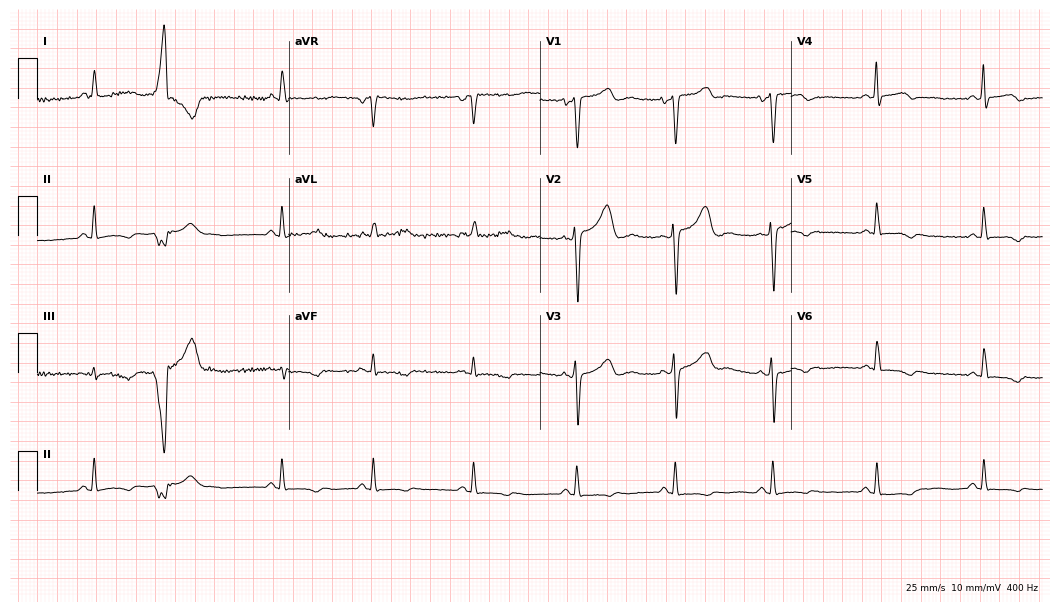
ECG — a woman, 43 years old. Screened for six findings — first-degree AV block, right bundle branch block, left bundle branch block, sinus bradycardia, atrial fibrillation, sinus tachycardia — none is recorded. Findings outside these six are not listed.